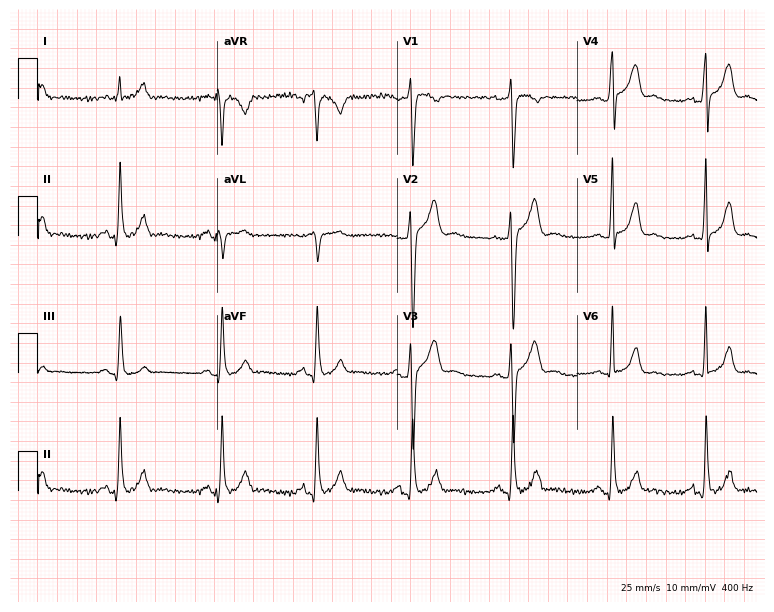
Resting 12-lead electrocardiogram. Patient: a man, 31 years old. Read as a normal ECG.